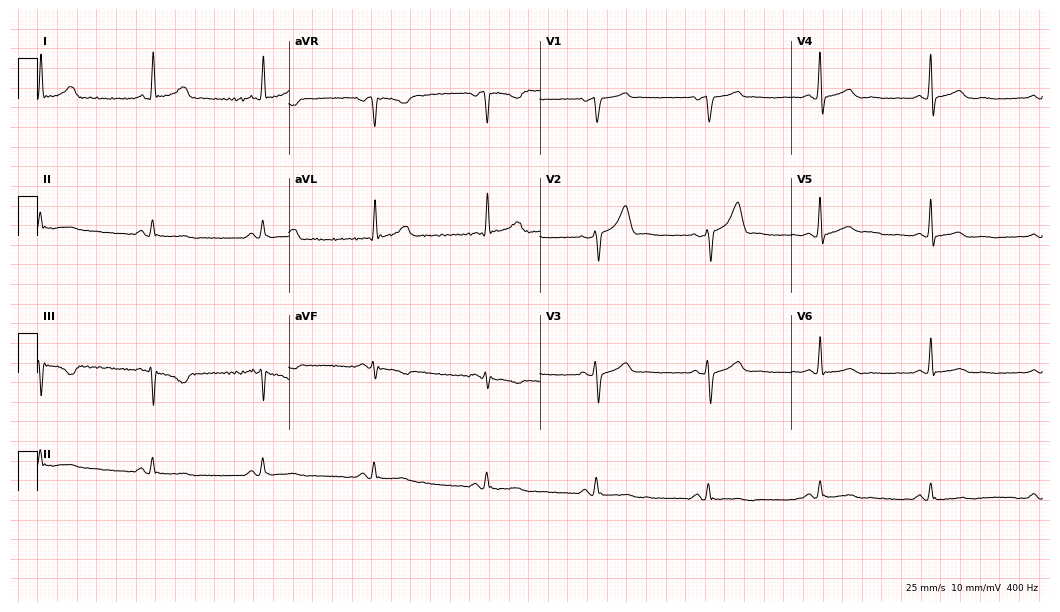
Standard 12-lead ECG recorded from a 63-year-old man. Read as a normal ECG.